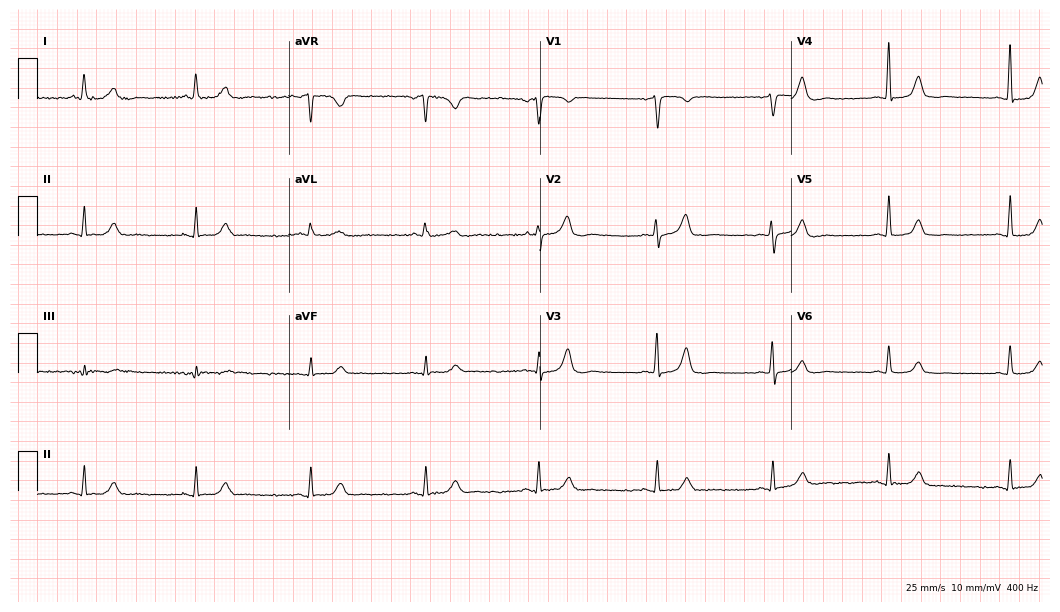
Resting 12-lead electrocardiogram (10.2-second recording at 400 Hz). Patient: a female, 65 years old. Read as a normal ECG.